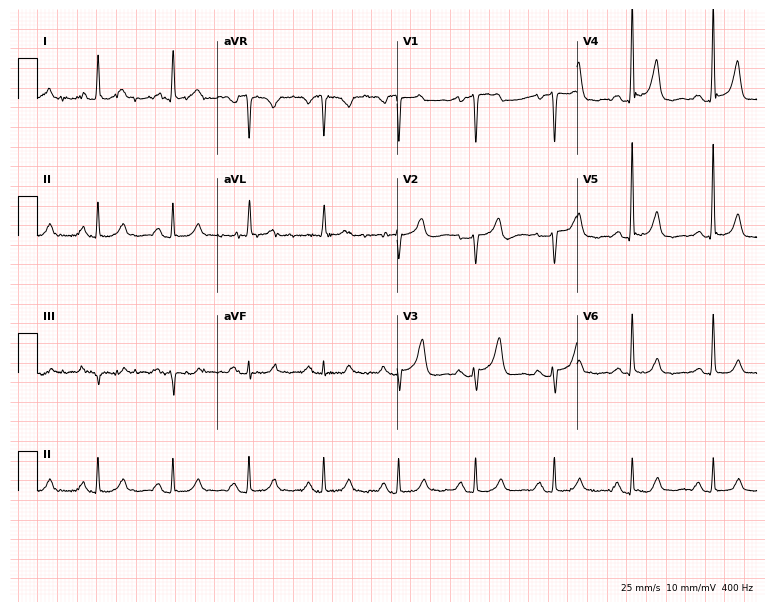
Electrocardiogram (7.3-second recording at 400 Hz), a female patient, 82 years old. Overall reading on record: normal ECG.